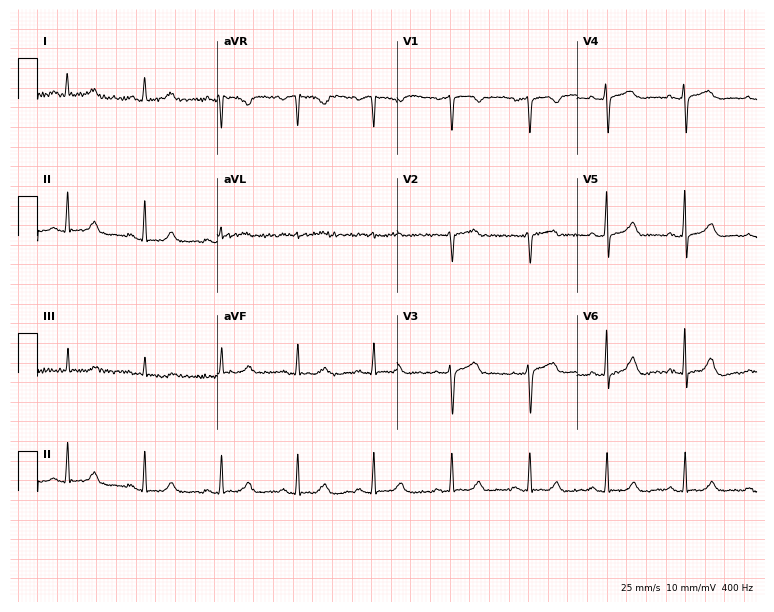
12-lead ECG (7.3-second recording at 400 Hz) from a 60-year-old female patient. Labelled as a normal ECG.